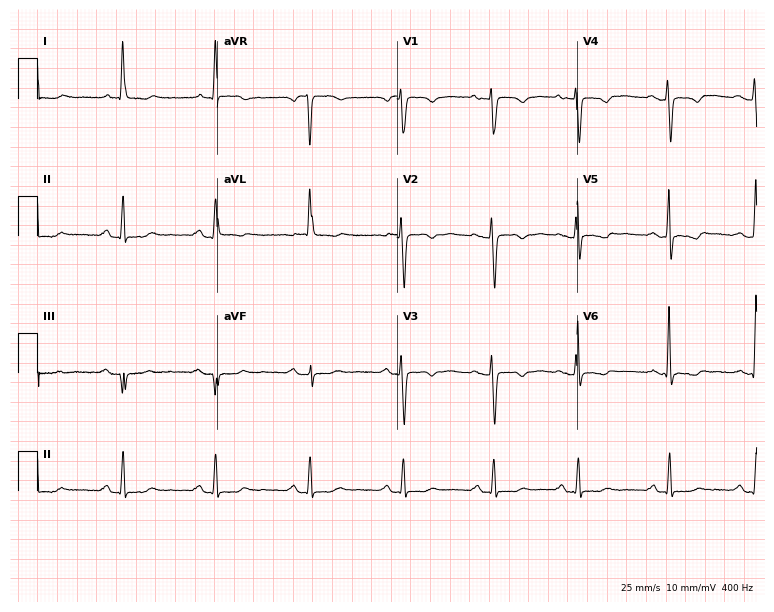
12-lead ECG (7.3-second recording at 400 Hz) from a 70-year-old female. Screened for six findings — first-degree AV block, right bundle branch block, left bundle branch block, sinus bradycardia, atrial fibrillation, sinus tachycardia — none is recorded. Only these six findings were labelled.